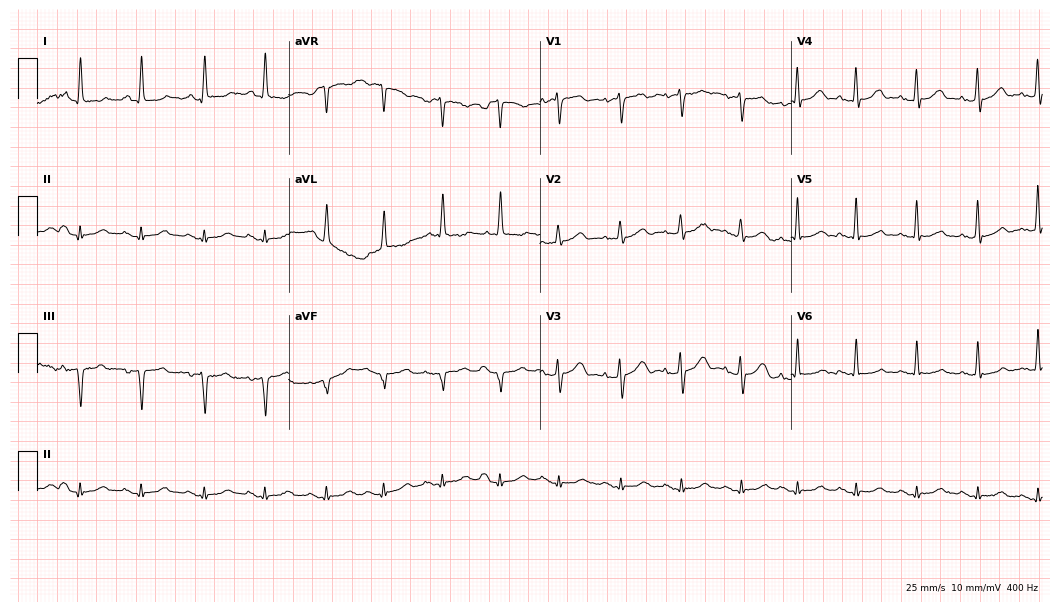
Electrocardiogram, a 78-year-old woman. Of the six screened findings (first-degree AV block, right bundle branch block (RBBB), left bundle branch block (LBBB), sinus bradycardia, atrial fibrillation (AF), sinus tachycardia), none is recorded. Other findings, if any, are not listed.